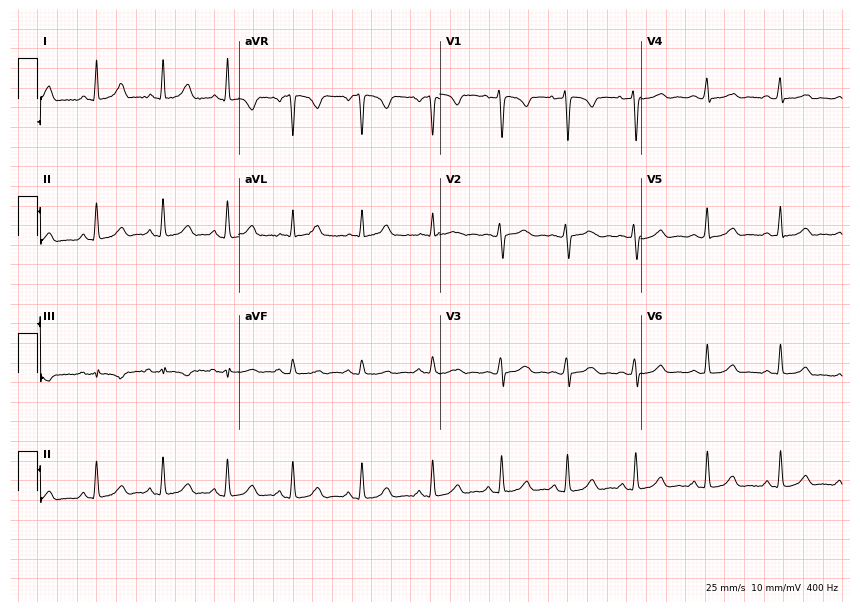
12-lead ECG from a 31-year-old female. No first-degree AV block, right bundle branch block (RBBB), left bundle branch block (LBBB), sinus bradycardia, atrial fibrillation (AF) or sinus tachycardia recorded for this tracing.